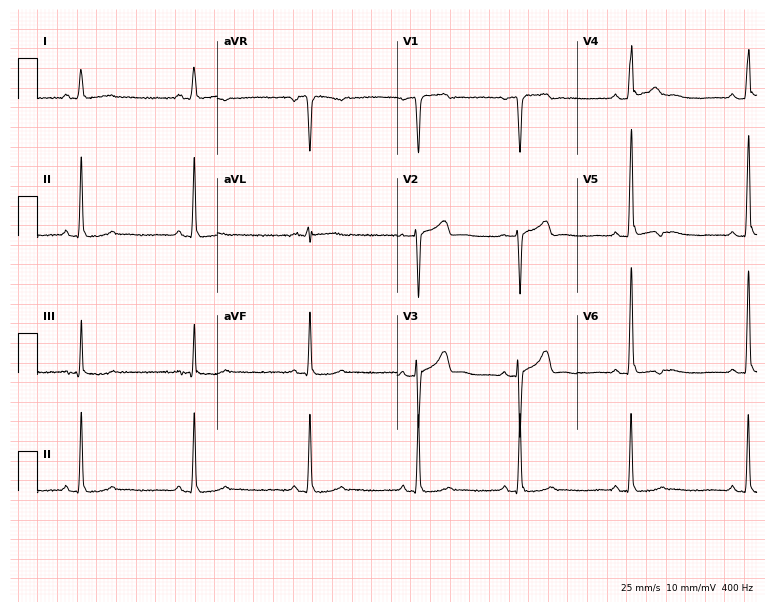
Standard 12-lead ECG recorded from a 37-year-old male (7.3-second recording at 400 Hz). None of these six findings is recorded: first-degree AV block, right bundle branch block, left bundle branch block, sinus bradycardia, atrial fibrillation, sinus tachycardia.